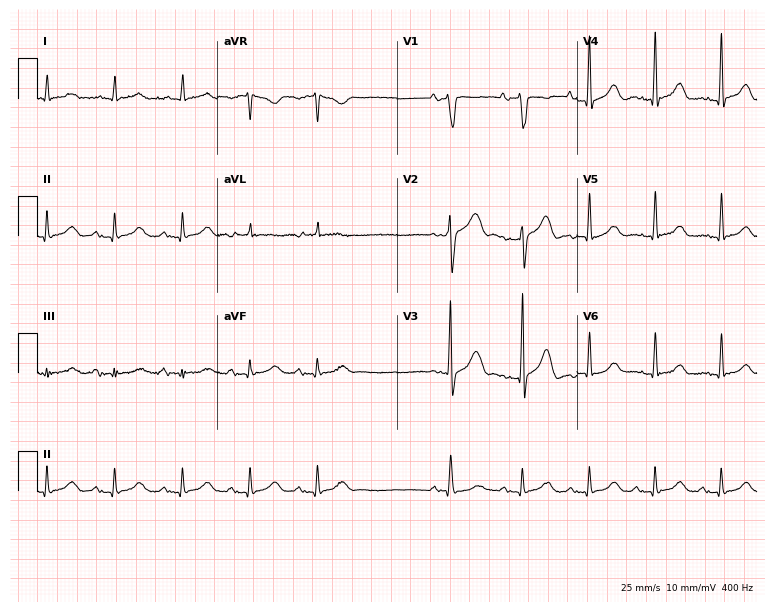
Standard 12-lead ECG recorded from a 77-year-old male patient (7.3-second recording at 400 Hz). Read as a normal ECG.